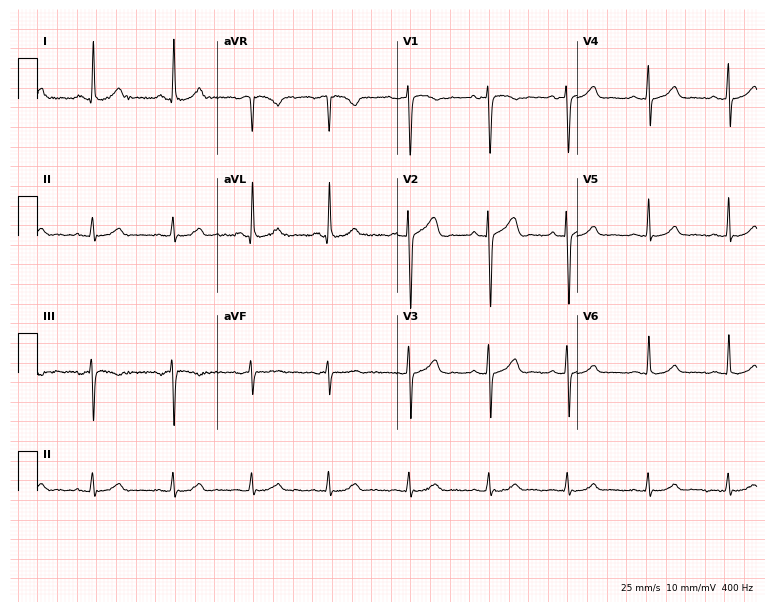
Electrocardiogram (7.3-second recording at 400 Hz), a female patient, 56 years old. Overall reading on record: normal ECG.